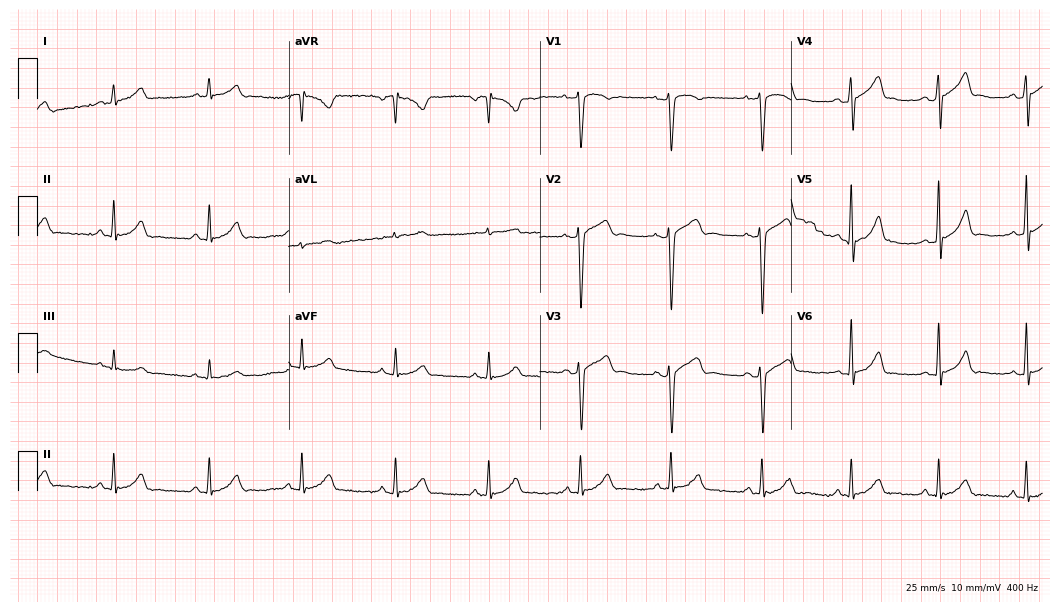
ECG — a man, 42 years old. Screened for six findings — first-degree AV block, right bundle branch block, left bundle branch block, sinus bradycardia, atrial fibrillation, sinus tachycardia — none is recorded. Only these six findings were labelled.